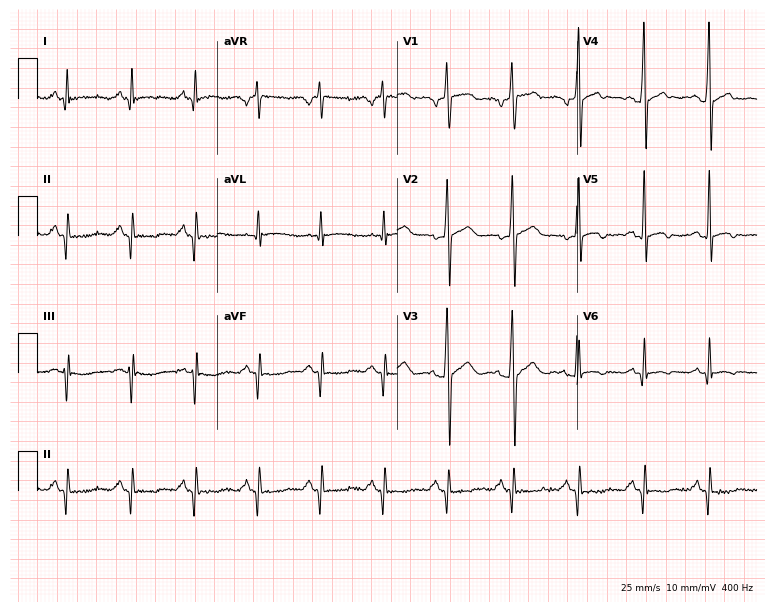
Standard 12-lead ECG recorded from a male patient, 46 years old (7.3-second recording at 400 Hz). None of these six findings is recorded: first-degree AV block, right bundle branch block (RBBB), left bundle branch block (LBBB), sinus bradycardia, atrial fibrillation (AF), sinus tachycardia. Only these six findings were labelled.